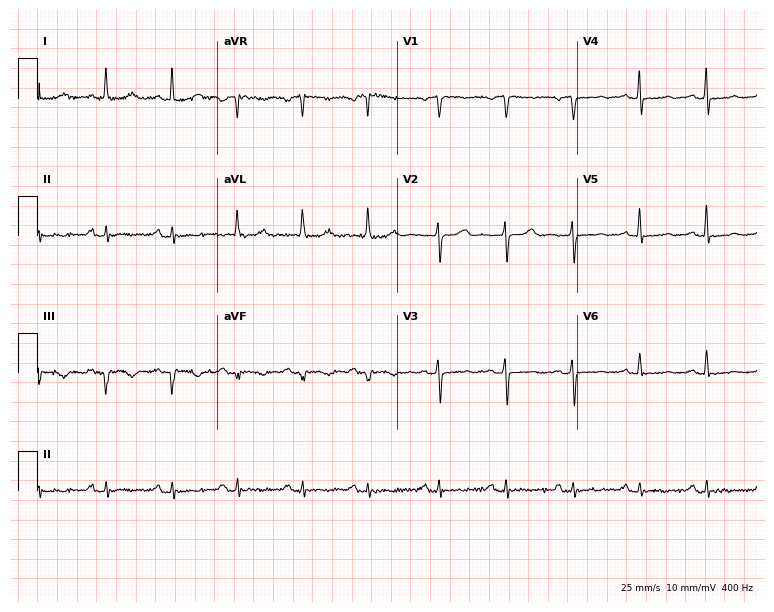
Standard 12-lead ECG recorded from an 85-year-old woman. None of these six findings is recorded: first-degree AV block, right bundle branch block, left bundle branch block, sinus bradycardia, atrial fibrillation, sinus tachycardia.